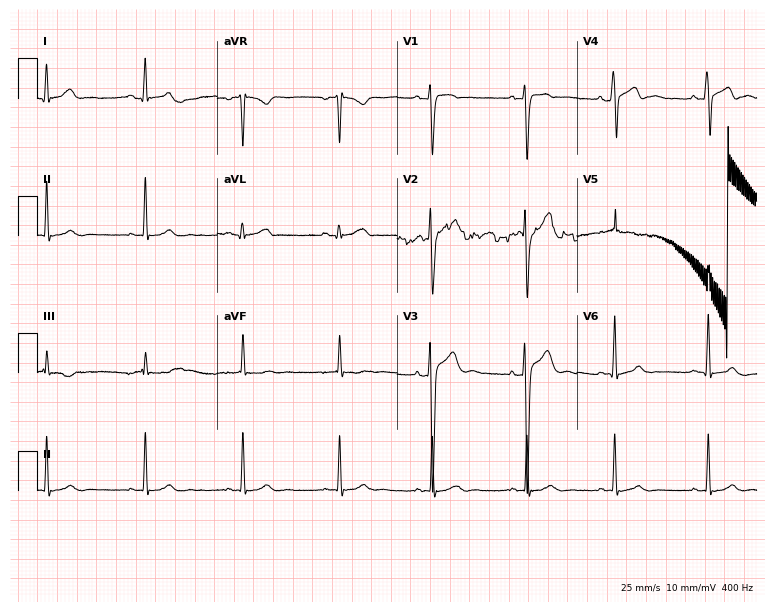
12-lead ECG from a 28-year-old man. No first-degree AV block, right bundle branch block (RBBB), left bundle branch block (LBBB), sinus bradycardia, atrial fibrillation (AF) or sinus tachycardia recorded for this tracing.